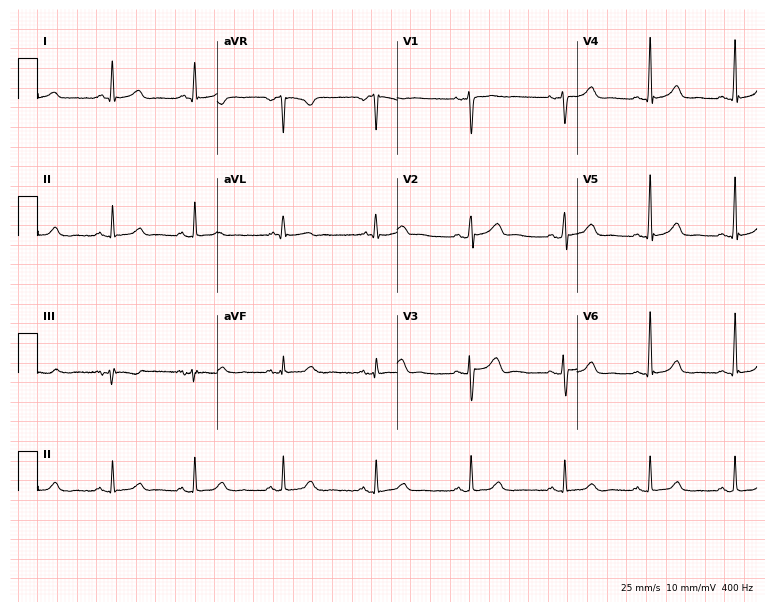
12-lead ECG from a woman, 46 years old (7.3-second recording at 400 Hz). No first-degree AV block, right bundle branch block, left bundle branch block, sinus bradycardia, atrial fibrillation or sinus tachycardia recorded for this tracing.